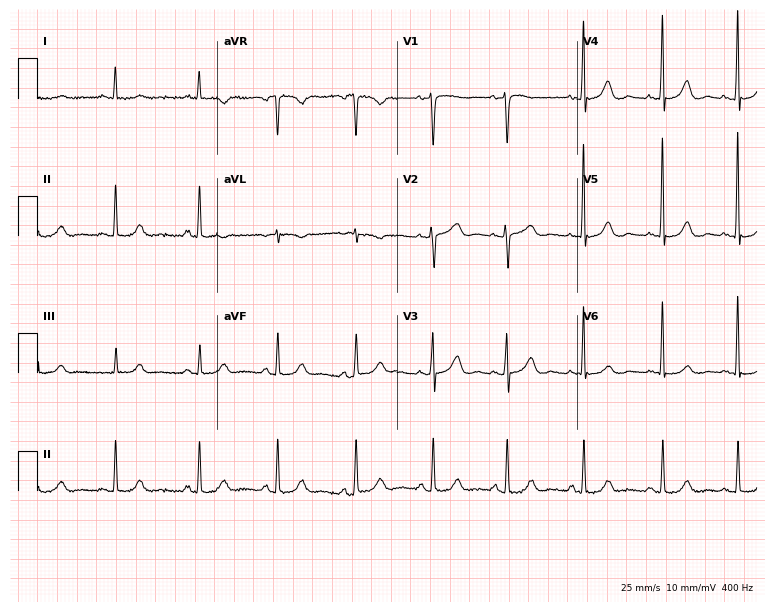
Standard 12-lead ECG recorded from a woman, 78 years old. None of these six findings is recorded: first-degree AV block, right bundle branch block, left bundle branch block, sinus bradycardia, atrial fibrillation, sinus tachycardia.